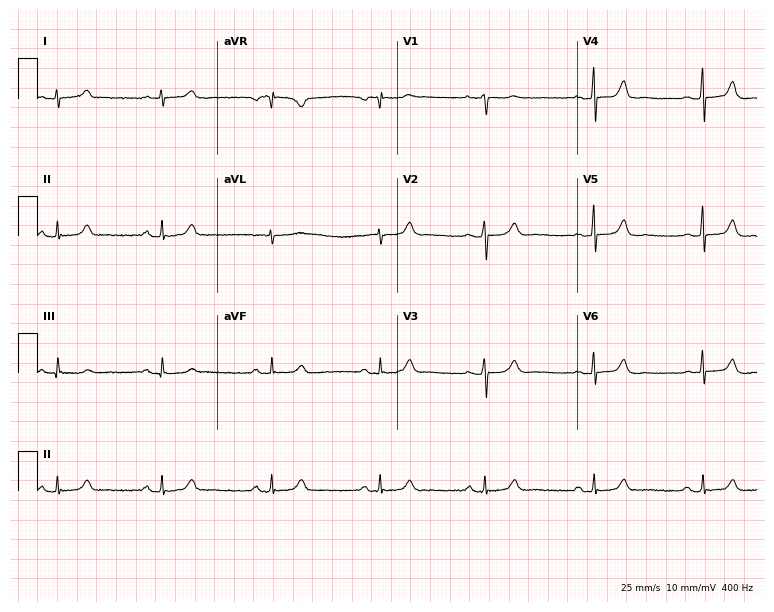
ECG (7.3-second recording at 400 Hz) — a woman, 52 years old. Labelled as a normal ECG.